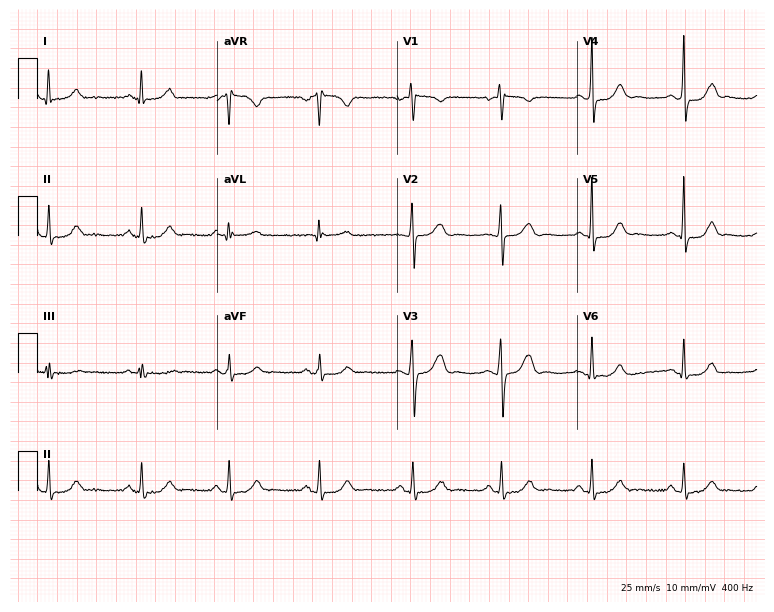
12-lead ECG (7.3-second recording at 400 Hz) from a woman, 36 years old. Labelled as a normal ECG.